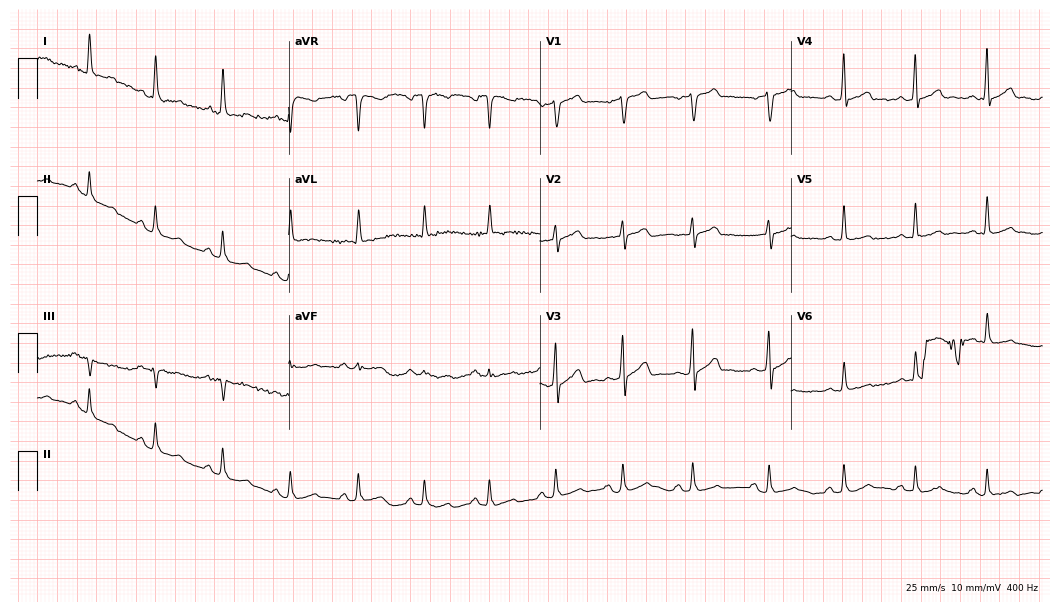
ECG (10.2-second recording at 400 Hz) — a 48-year-old male. Labelled as a normal ECG.